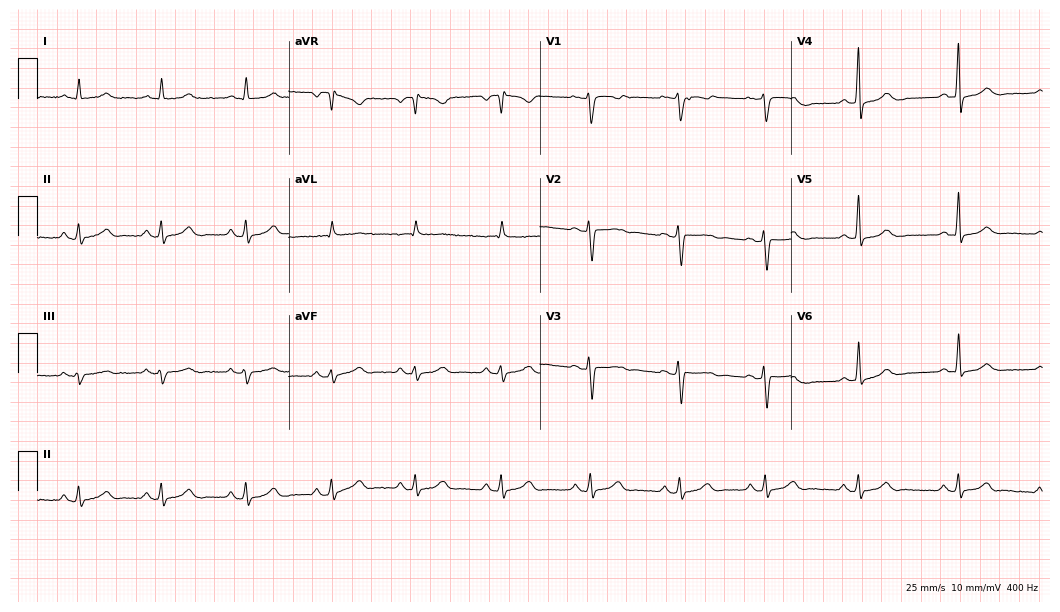
Electrocardiogram (10.2-second recording at 400 Hz), a 45-year-old woman. Overall reading on record: normal ECG.